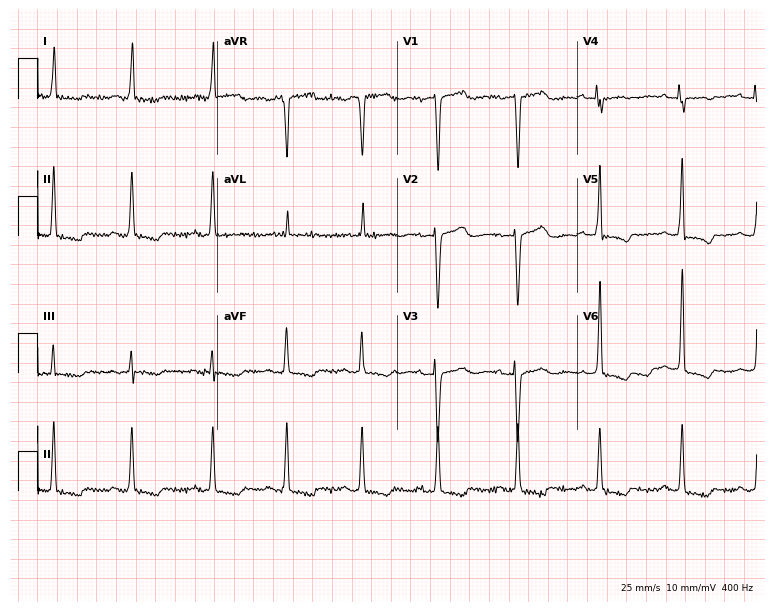
12-lead ECG from a female, 82 years old. No first-degree AV block, right bundle branch block, left bundle branch block, sinus bradycardia, atrial fibrillation or sinus tachycardia recorded for this tracing.